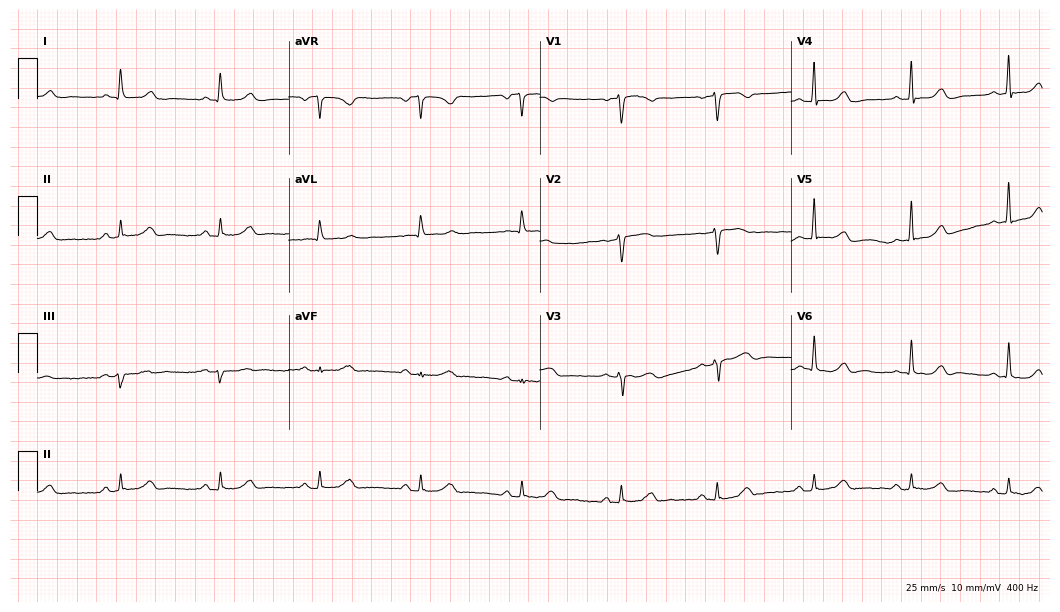
12-lead ECG from a woman, 65 years old (10.2-second recording at 400 Hz). Recorded interpretation: within normal limits.